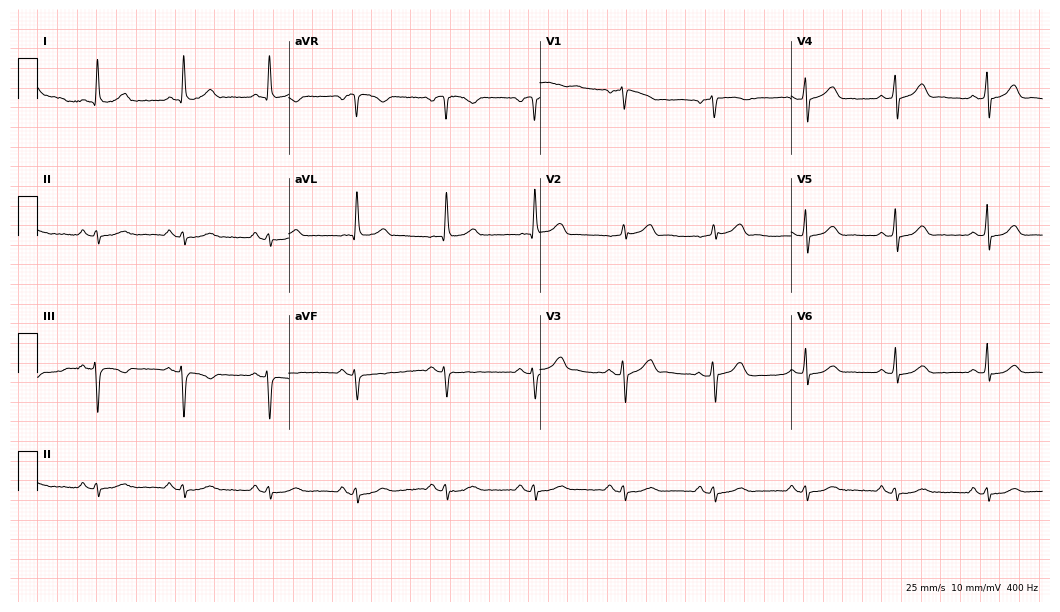
Resting 12-lead electrocardiogram. Patient: a 65-year-old male. Read as a normal ECG.